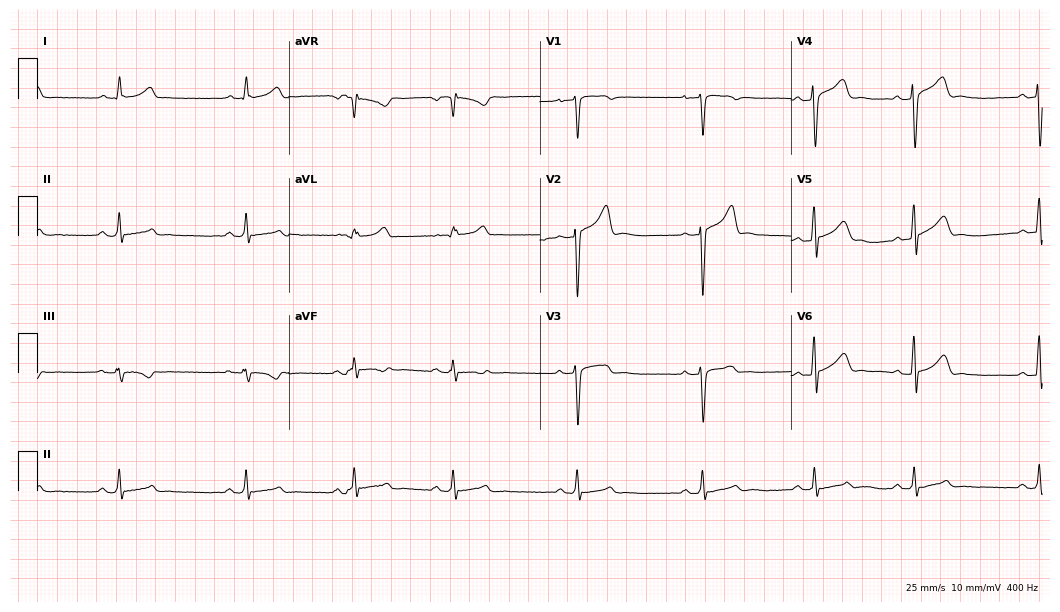
Resting 12-lead electrocardiogram (10.2-second recording at 400 Hz). Patient: a 23-year-old male. None of these six findings is recorded: first-degree AV block, right bundle branch block, left bundle branch block, sinus bradycardia, atrial fibrillation, sinus tachycardia.